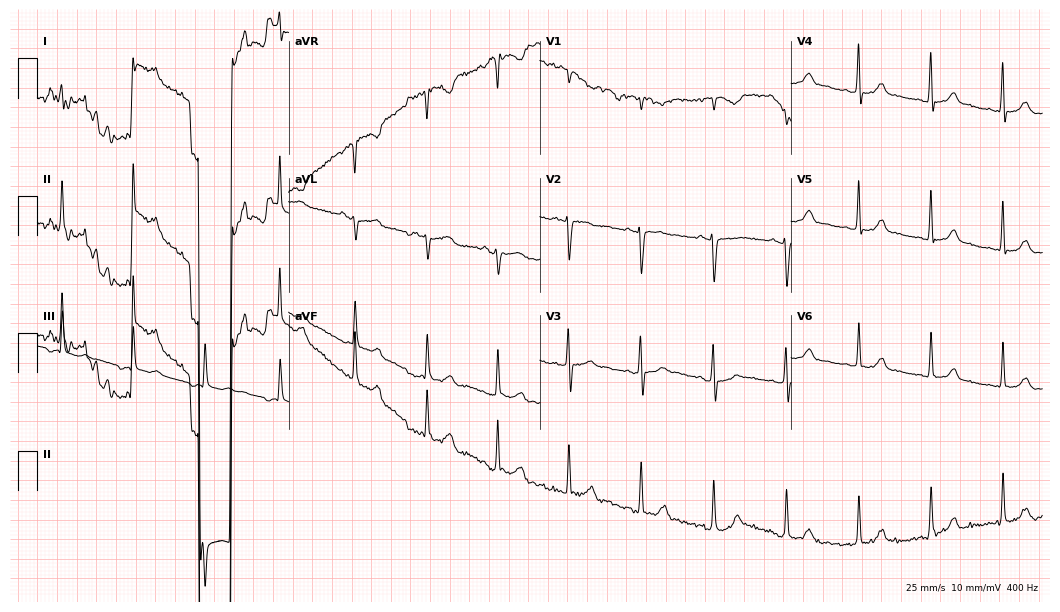
Resting 12-lead electrocardiogram (10.2-second recording at 400 Hz). Patient: a 25-year-old woman. None of these six findings is recorded: first-degree AV block, right bundle branch block, left bundle branch block, sinus bradycardia, atrial fibrillation, sinus tachycardia.